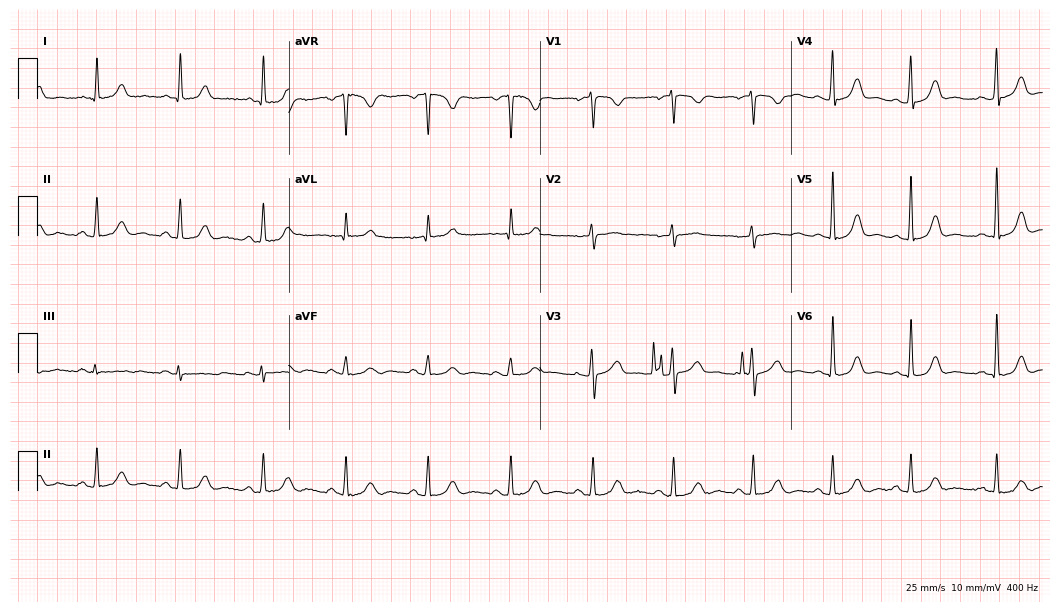
12-lead ECG from a 72-year-old female (10.2-second recording at 400 Hz). No first-degree AV block, right bundle branch block (RBBB), left bundle branch block (LBBB), sinus bradycardia, atrial fibrillation (AF) or sinus tachycardia recorded for this tracing.